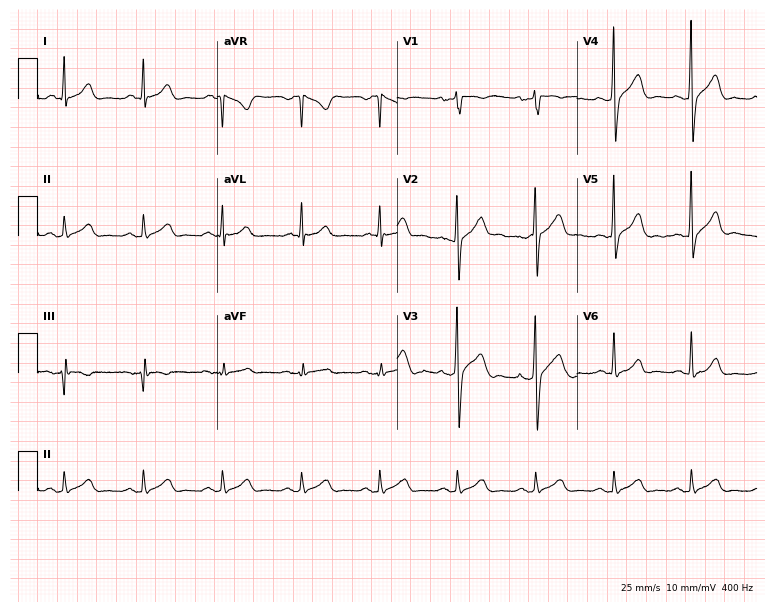
12-lead ECG from a 23-year-old male patient. Recorded interpretation: within normal limits.